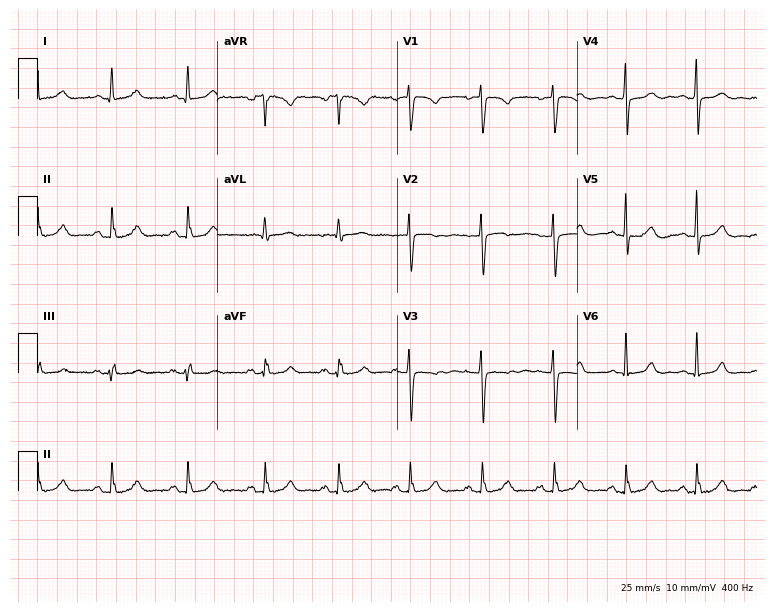
Standard 12-lead ECG recorded from a 43-year-old female patient. None of these six findings is recorded: first-degree AV block, right bundle branch block, left bundle branch block, sinus bradycardia, atrial fibrillation, sinus tachycardia. Findings outside these six are not listed.